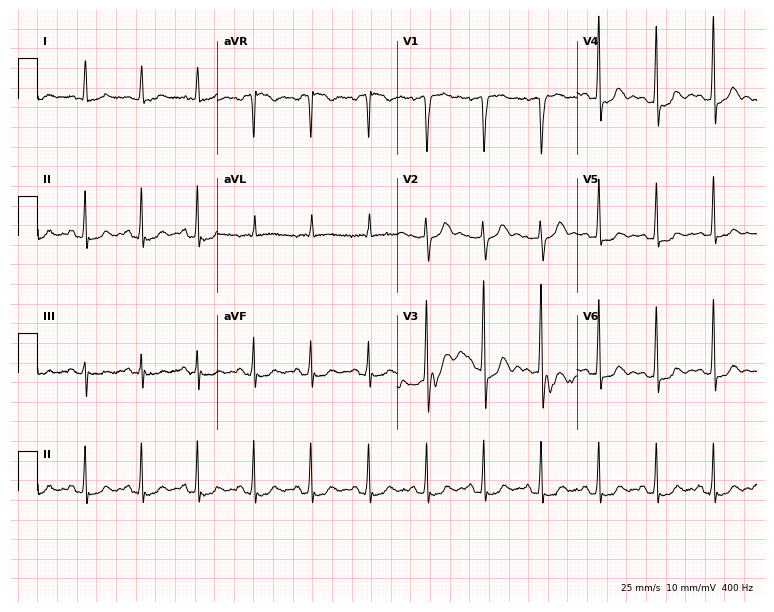
ECG — a 64-year-old male patient. Screened for six findings — first-degree AV block, right bundle branch block, left bundle branch block, sinus bradycardia, atrial fibrillation, sinus tachycardia — none is recorded.